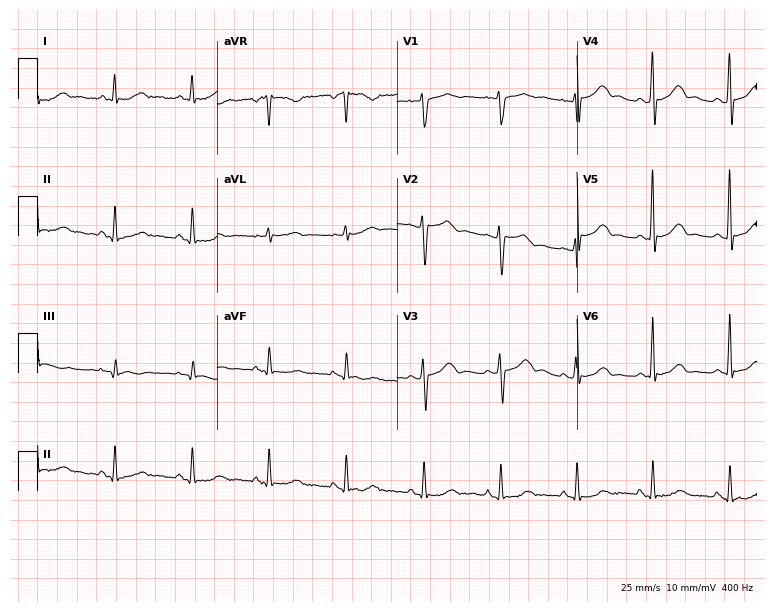
12-lead ECG from a woman, 63 years old. Screened for six findings — first-degree AV block, right bundle branch block (RBBB), left bundle branch block (LBBB), sinus bradycardia, atrial fibrillation (AF), sinus tachycardia — none is recorded.